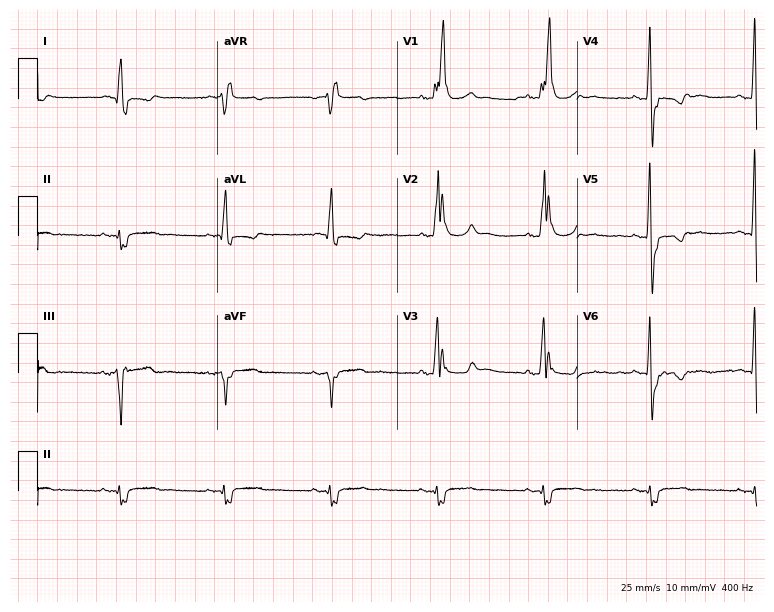
12-lead ECG from a 77-year-old male. Shows right bundle branch block (RBBB).